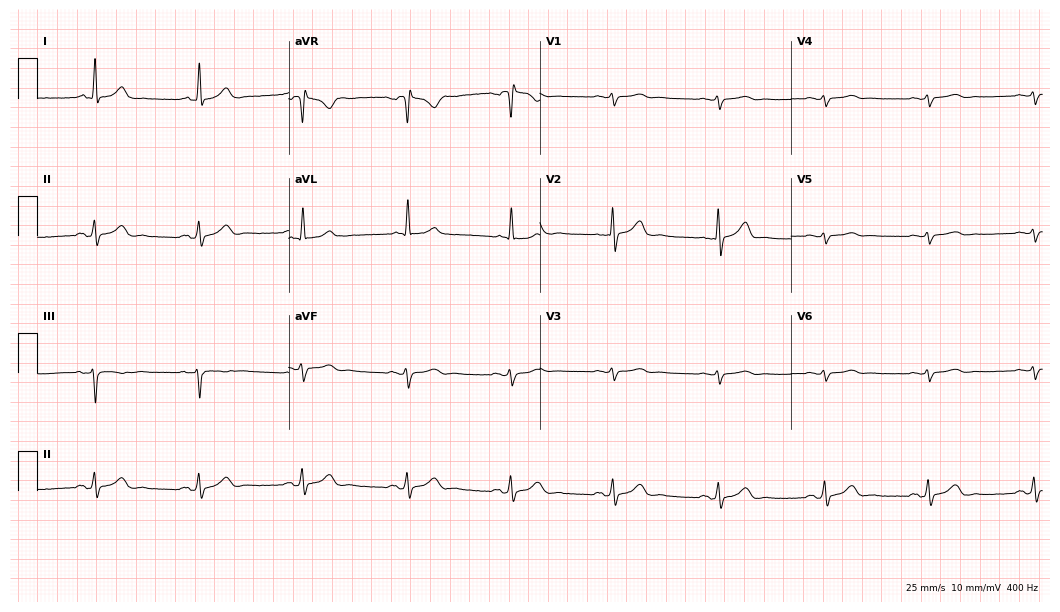
Resting 12-lead electrocardiogram. Patient: a man, 59 years old. Read as a normal ECG.